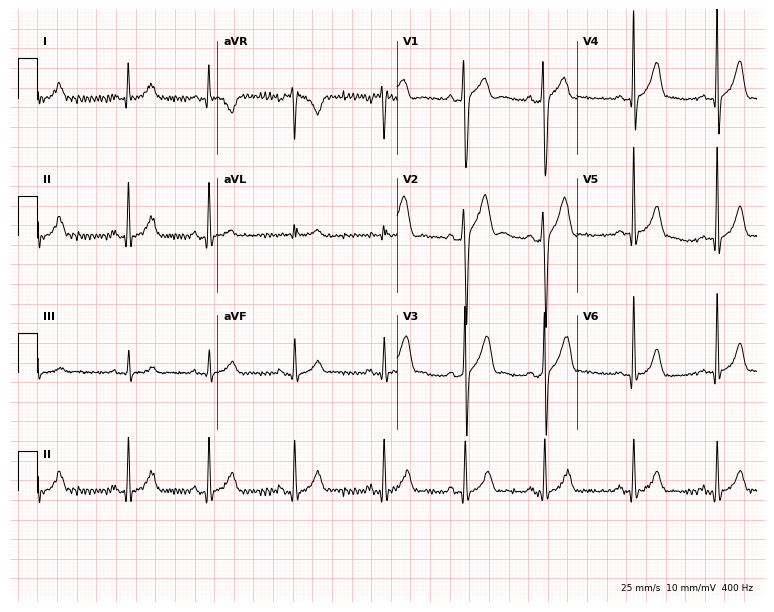
12-lead ECG (7.3-second recording at 400 Hz) from a male patient, 30 years old. Screened for six findings — first-degree AV block, right bundle branch block, left bundle branch block, sinus bradycardia, atrial fibrillation, sinus tachycardia — none is recorded.